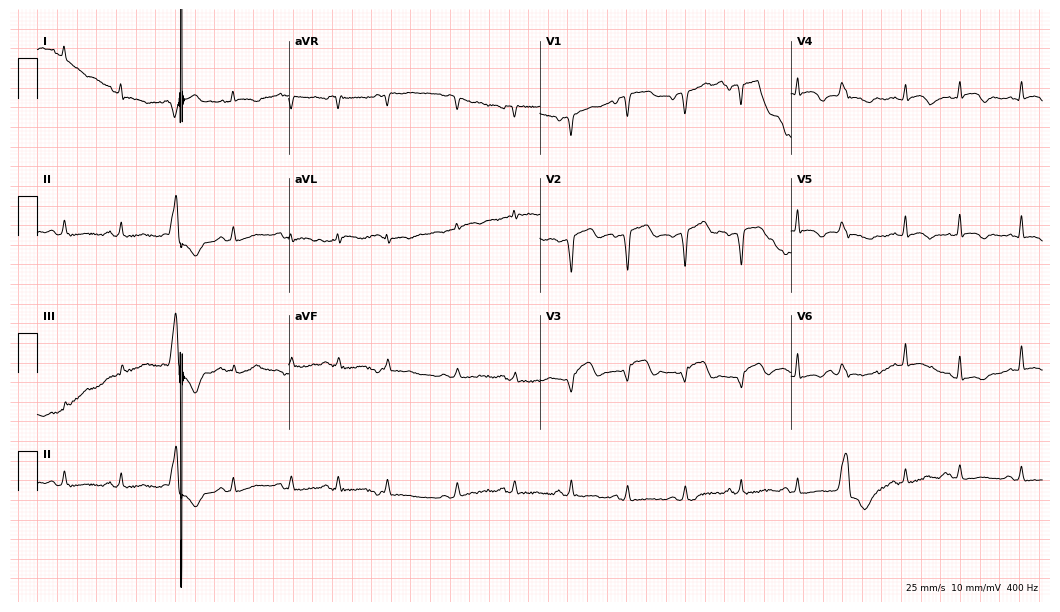
ECG — a woman, 83 years old. Screened for six findings — first-degree AV block, right bundle branch block (RBBB), left bundle branch block (LBBB), sinus bradycardia, atrial fibrillation (AF), sinus tachycardia — none is recorded.